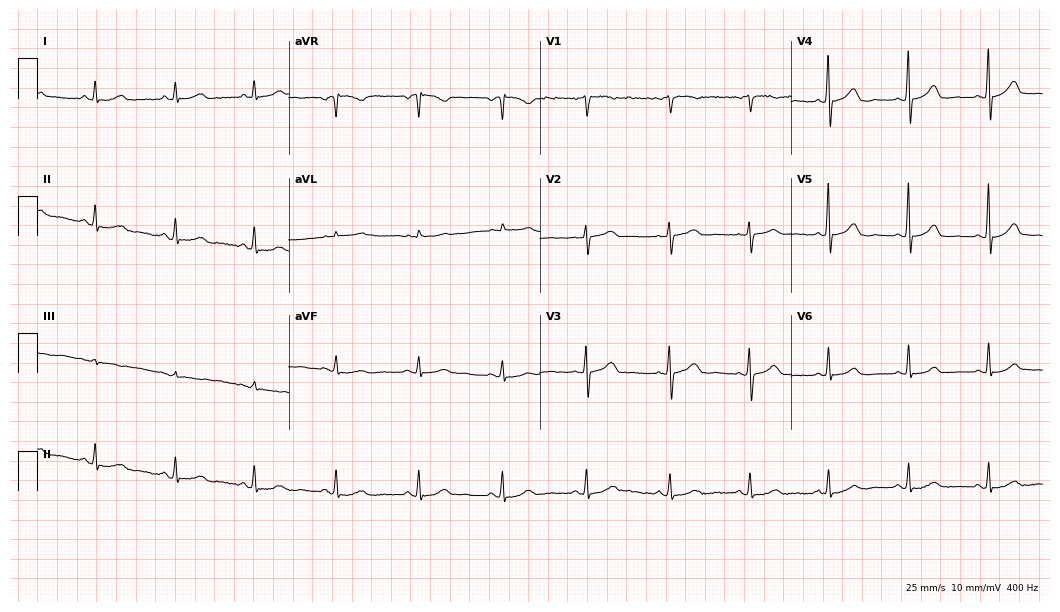
12-lead ECG (10.2-second recording at 400 Hz) from a woman, 61 years old. Labelled as a normal ECG.